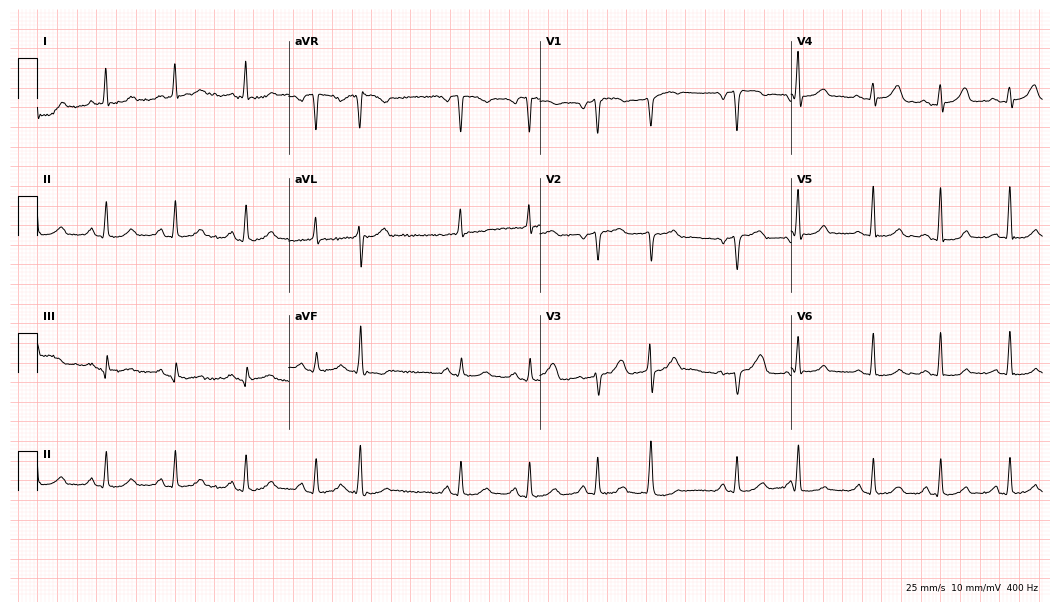
ECG (10.2-second recording at 400 Hz) — a female patient, 54 years old. Screened for six findings — first-degree AV block, right bundle branch block (RBBB), left bundle branch block (LBBB), sinus bradycardia, atrial fibrillation (AF), sinus tachycardia — none is recorded. Findings outside these six are not listed.